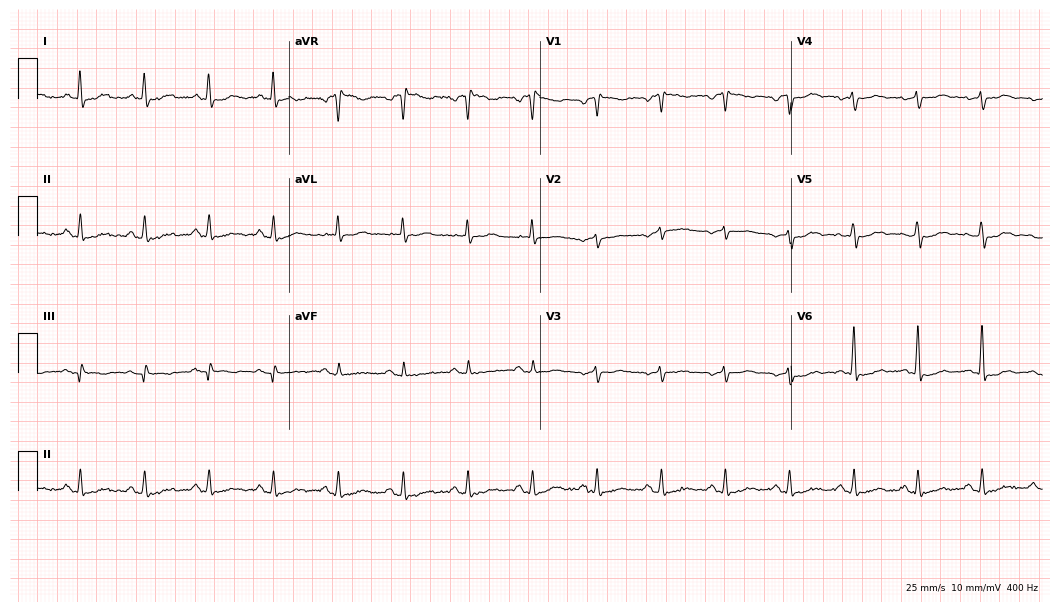
Standard 12-lead ECG recorded from a 38-year-old woman. Read as a normal ECG.